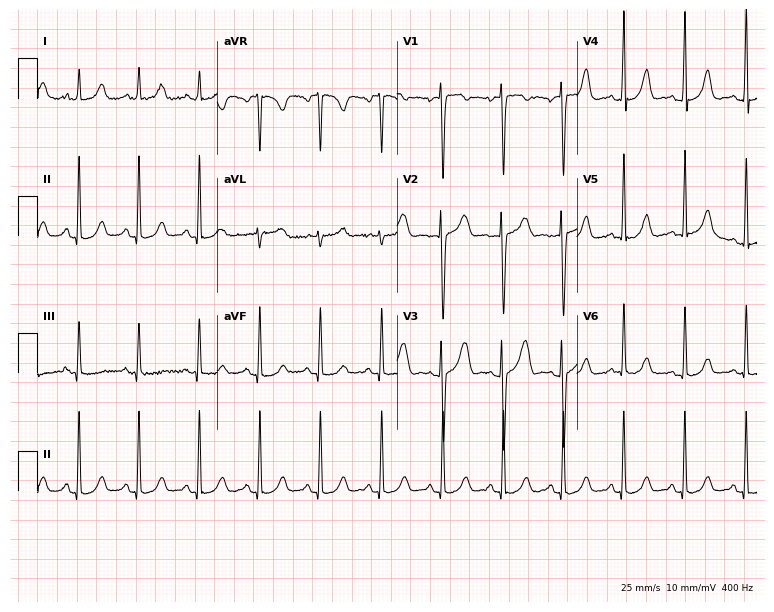
Resting 12-lead electrocardiogram. Patient: a 33-year-old woman. None of these six findings is recorded: first-degree AV block, right bundle branch block, left bundle branch block, sinus bradycardia, atrial fibrillation, sinus tachycardia.